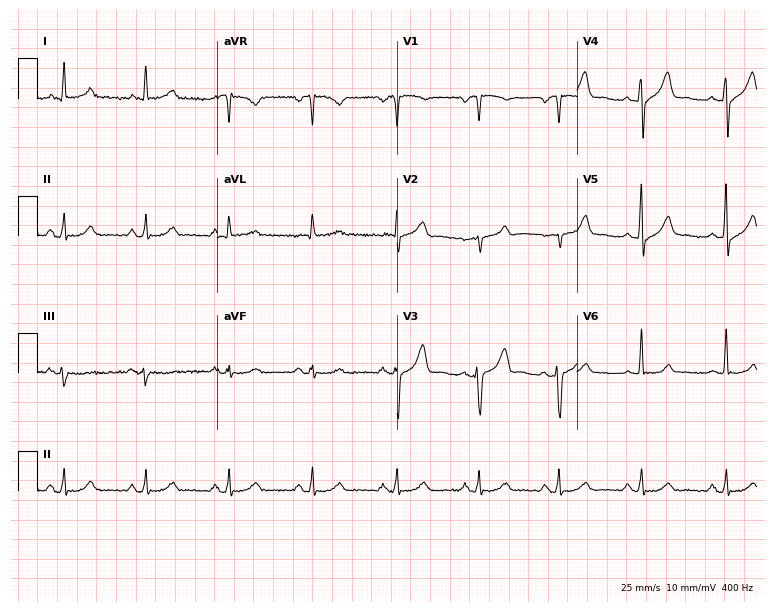
12-lead ECG from a male, 51 years old. No first-degree AV block, right bundle branch block (RBBB), left bundle branch block (LBBB), sinus bradycardia, atrial fibrillation (AF) or sinus tachycardia recorded for this tracing.